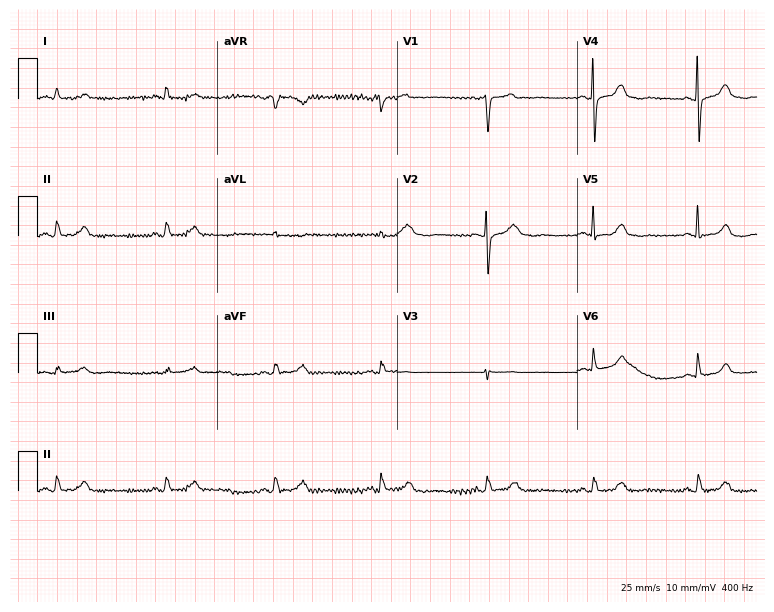
12-lead ECG from a female, 79 years old (7.3-second recording at 400 Hz). No first-degree AV block, right bundle branch block, left bundle branch block, sinus bradycardia, atrial fibrillation or sinus tachycardia recorded for this tracing. Findings outside these six are not listed.